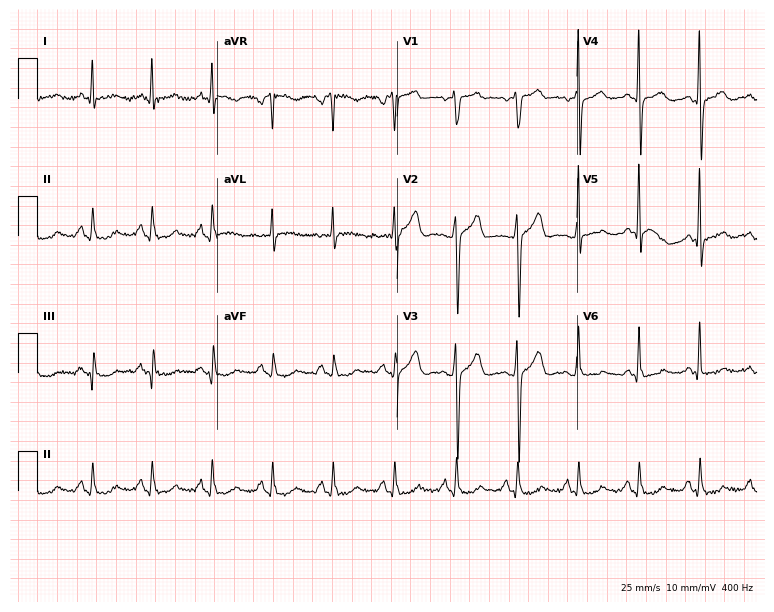
Resting 12-lead electrocardiogram. Patient: a 58-year-old man. None of these six findings is recorded: first-degree AV block, right bundle branch block, left bundle branch block, sinus bradycardia, atrial fibrillation, sinus tachycardia. Findings outside these six are not listed.